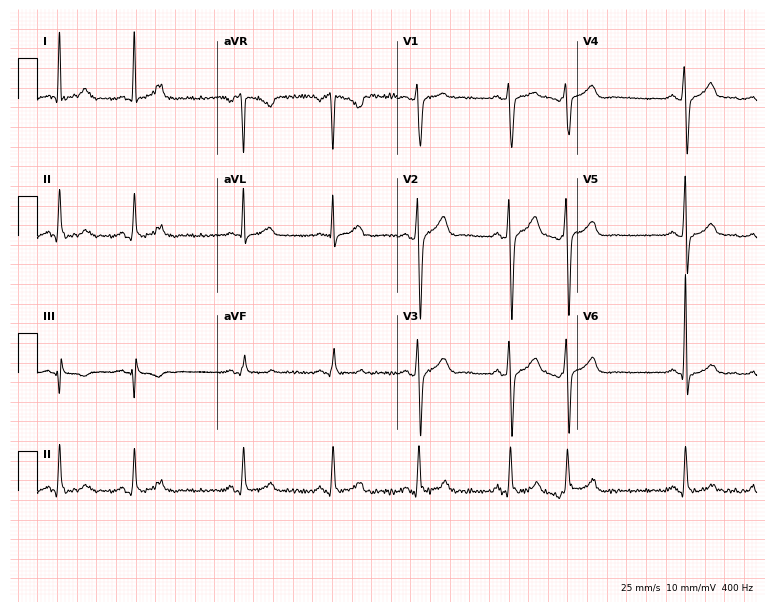
ECG — a 40-year-old male patient. Screened for six findings — first-degree AV block, right bundle branch block, left bundle branch block, sinus bradycardia, atrial fibrillation, sinus tachycardia — none is recorded.